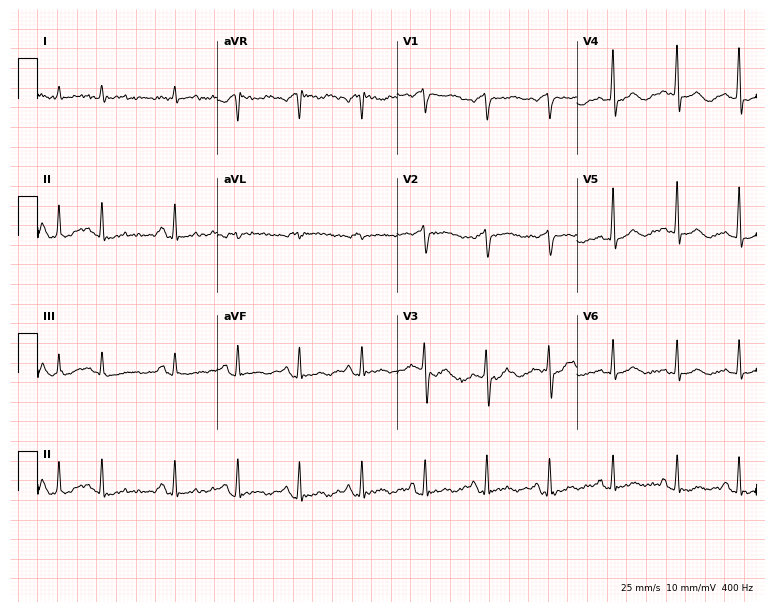
Standard 12-lead ECG recorded from a 74-year-old male patient (7.3-second recording at 400 Hz). None of these six findings is recorded: first-degree AV block, right bundle branch block (RBBB), left bundle branch block (LBBB), sinus bradycardia, atrial fibrillation (AF), sinus tachycardia.